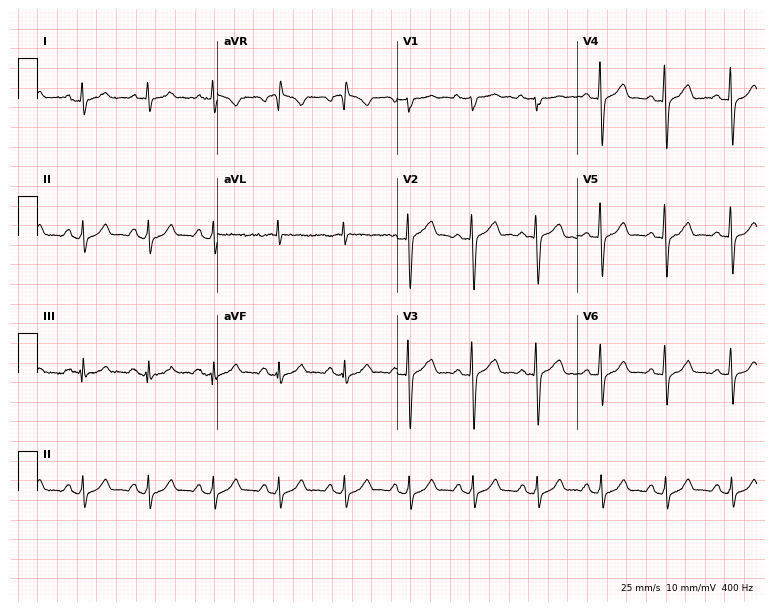
12-lead ECG from a 62-year-old male patient. No first-degree AV block, right bundle branch block, left bundle branch block, sinus bradycardia, atrial fibrillation or sinus tachycardia recorded for this tracing. Only these six findings were labelled.